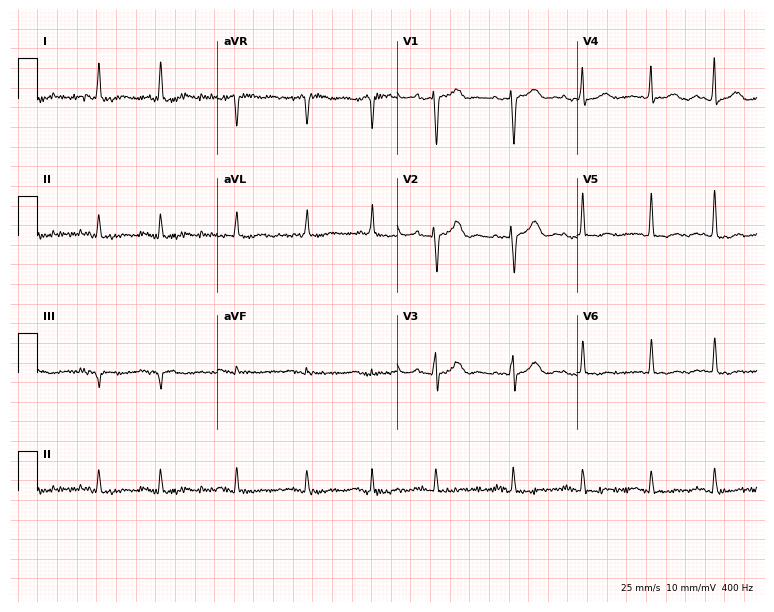
Resting 12-lead electrocardiogram (7.3-second recording at 400 Hz). Patient: an 83-year-old male. None of these six findings is recorded: first-degree AV block, right bundle branch block, left bundle branch block, sinus bradycardia, atrial fibrillation, sinus tachycardia. Findings outside these six are not listed.